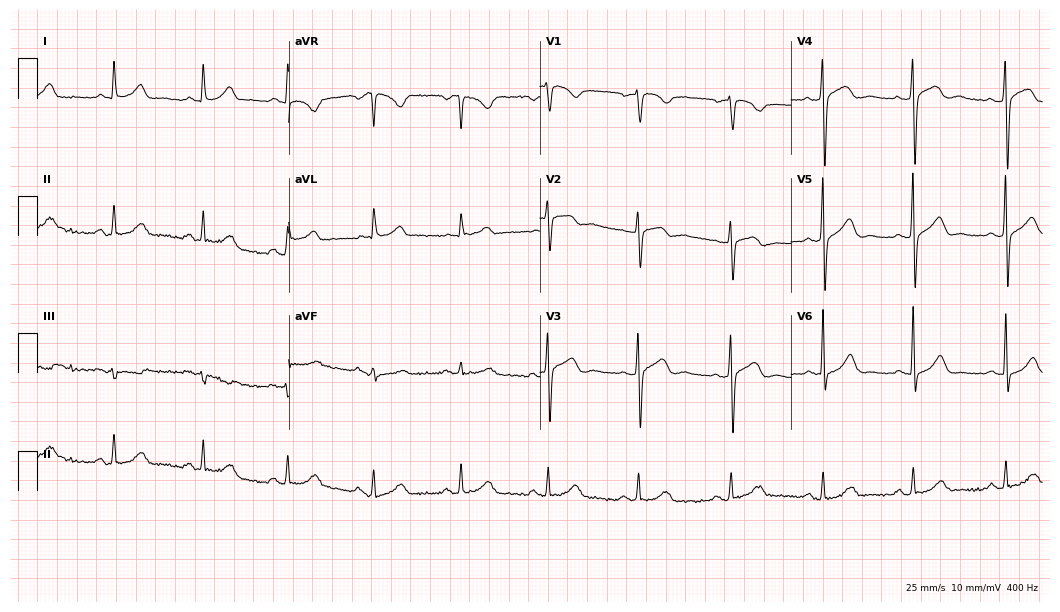
ECG (10.2-second recording at 400 Hz) — a 60-year-old female patient. Labelled as a normal ECG.